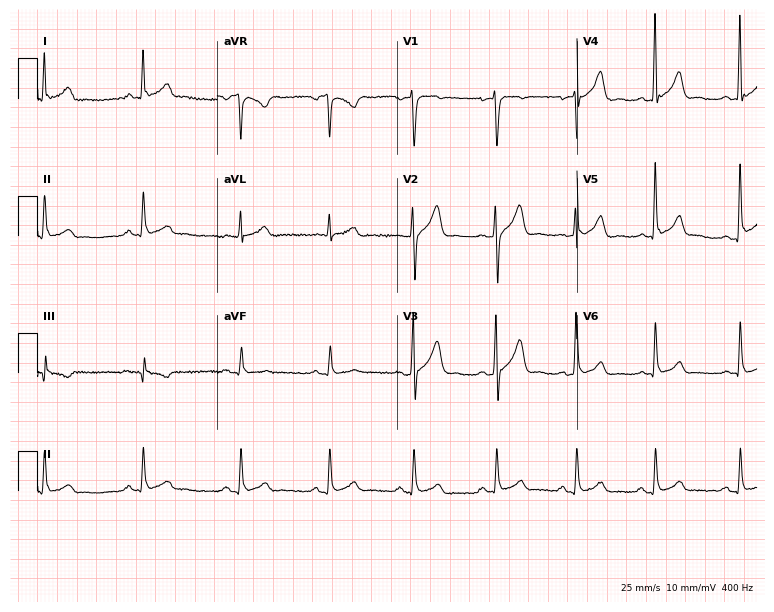
Electrocardiogram, a male, 32 years old. Overall reading on record: normal ECG.